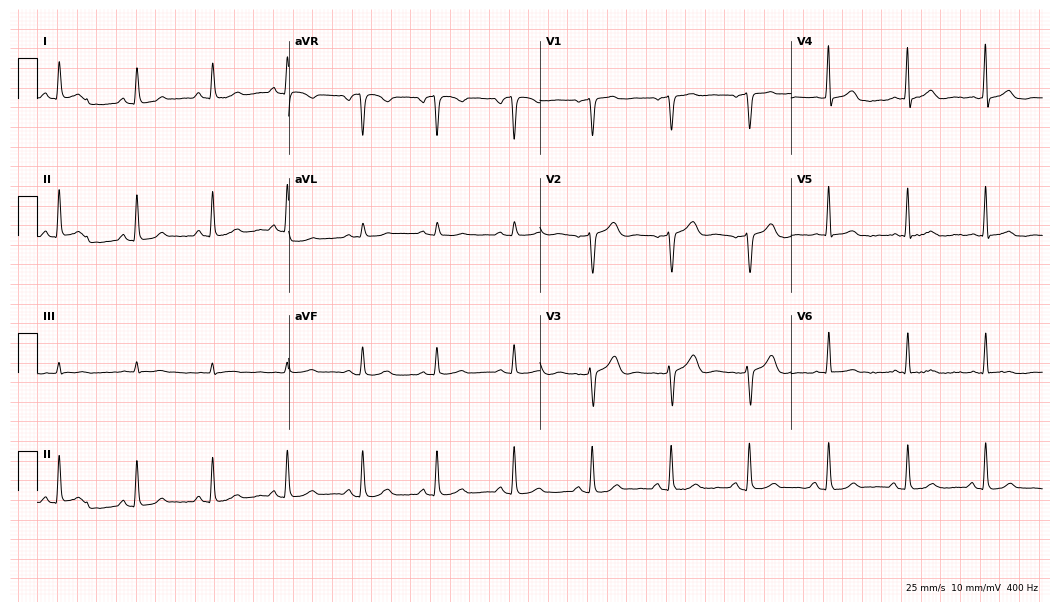
Standard 12-lead ECG recorded from a 60-year-old female patient (10.2-second recording at 400 Hz). Read as a normal ECG.